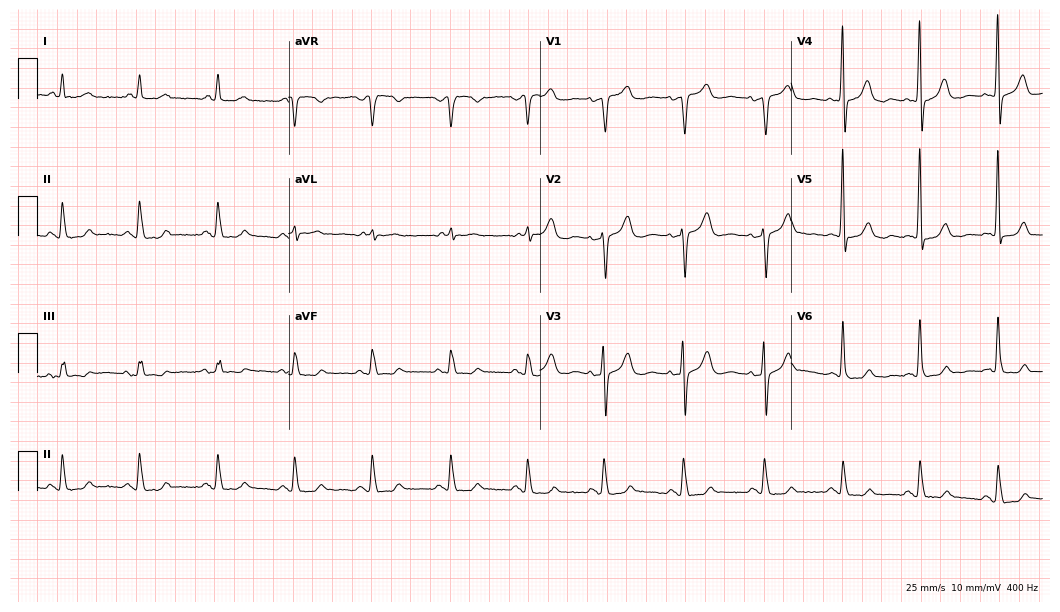
12-lead ECG from a 78-year-old female. Screened for six findings — first-degree AV block, right bundle branch block, left bundle branch block, sinus bradycardia, atrial fibrillation, sinus tachycardia — none is recorded. Findings outside these six are not listed.